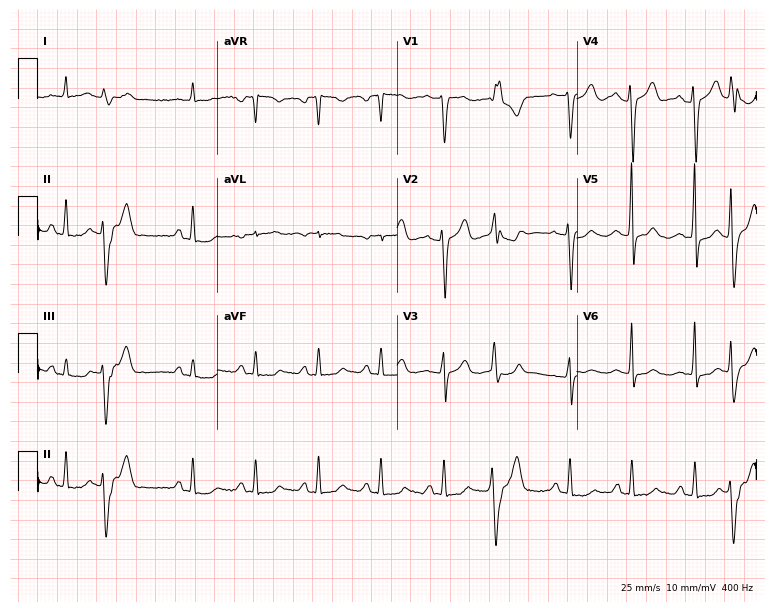
ECG — a male patient, 72 years old. Screened for six findings — first-degree AV block, right bundle branch block, left bundle branch block, sinus bradycardia, atrial fibrillation, sinus tachycardia — none is recorded. Other findings, if any, are not listed.